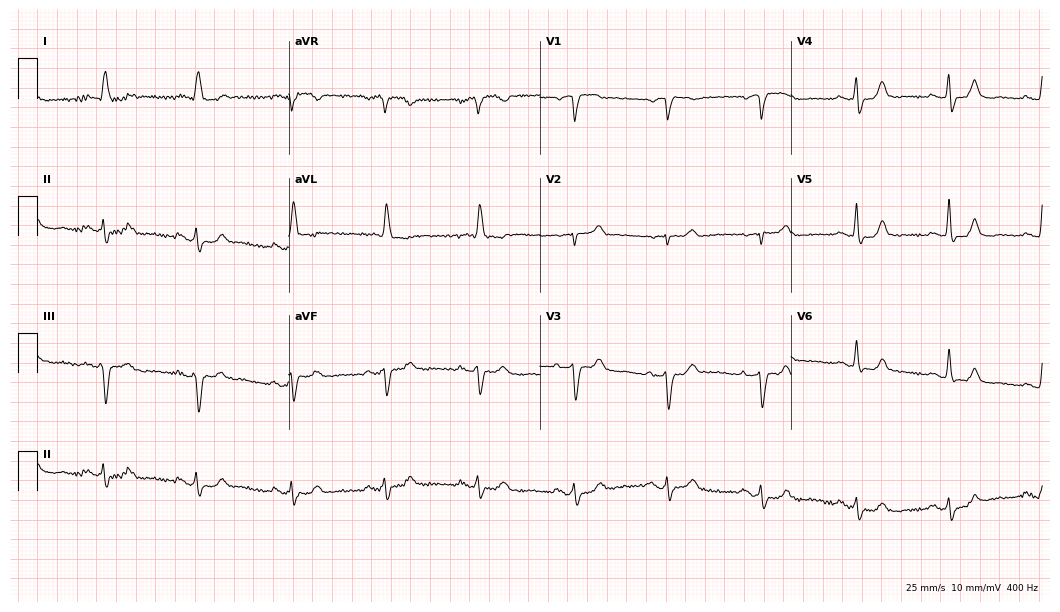
Standard 12-lead ECG recorded from a female patient, 72 years old (10.2-second recording at 400 Hz). None of these six findings is recorded: first-degree AV block, right bundle branch block, left bundle branch block, sinus bradycardia, atrial fibrillation, sinus tachycardia.